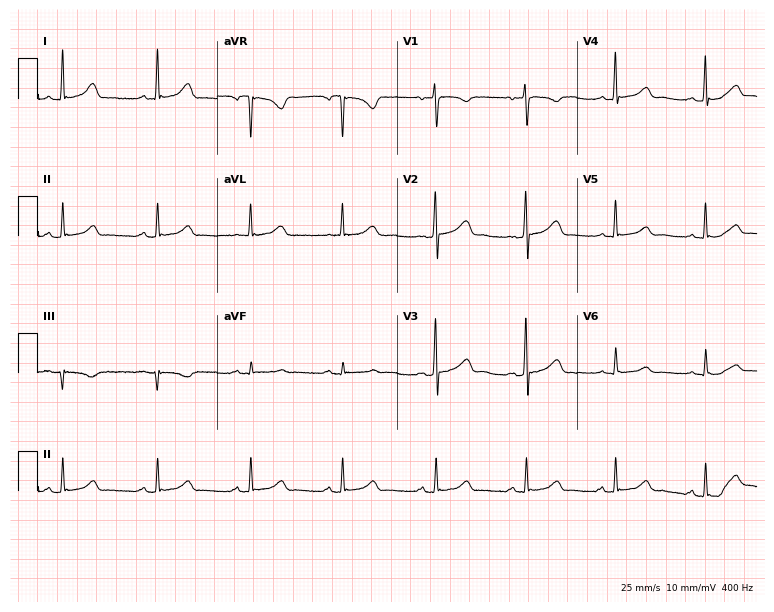
12-lead ECG from a woman, 44 years old. Labelled as a normal ECG.